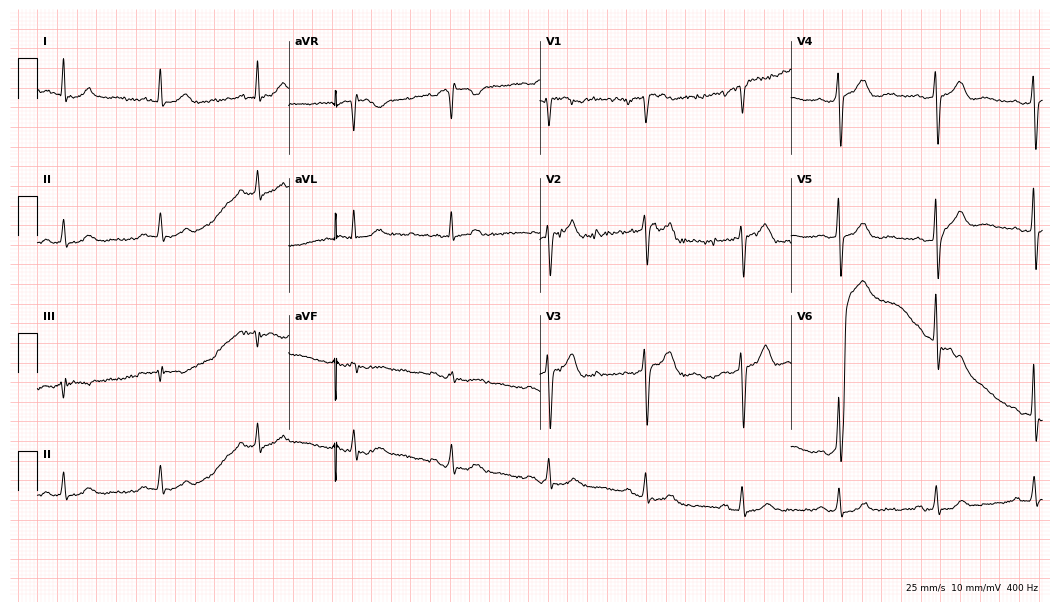
ECG (10.2-second recording at 400 Hz) — an 84-year-old man. Labelled as a normal ECG.